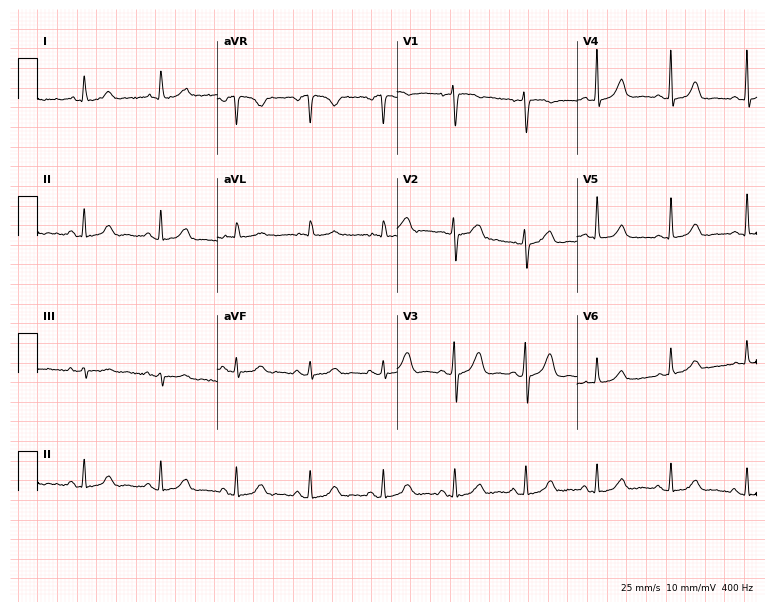
12-lead ECG from a woman, 46 years old (7.3-second recording at 400 Hz). No first-degree AV block, right bundle branch block, left bundle branch block, sinus bradycardia, atrial fibrillation or sinus tachycardia recorded for this tracing. Only these six findings were labelled.